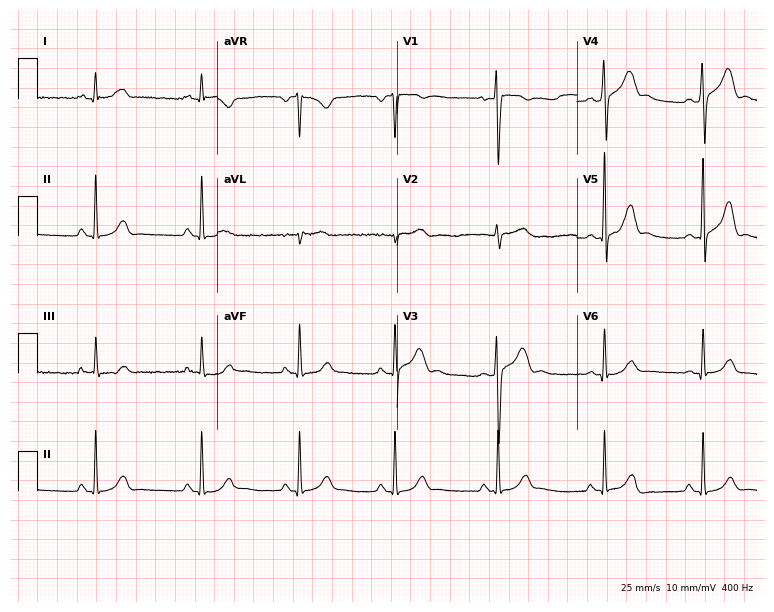
12-lead ECG from a 32-year-old male patient (7.3-second recording at 400 Hz). Recorded interpretation: within normal limits.